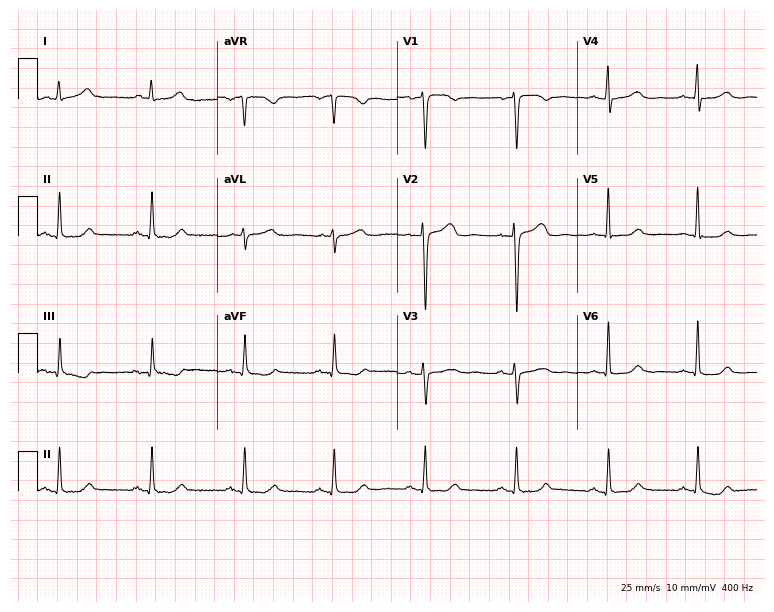
Electrocardiogram (7.3-second recording at 400 Hz), a woman, 53 years old. Overall reading on record: normal ECG.